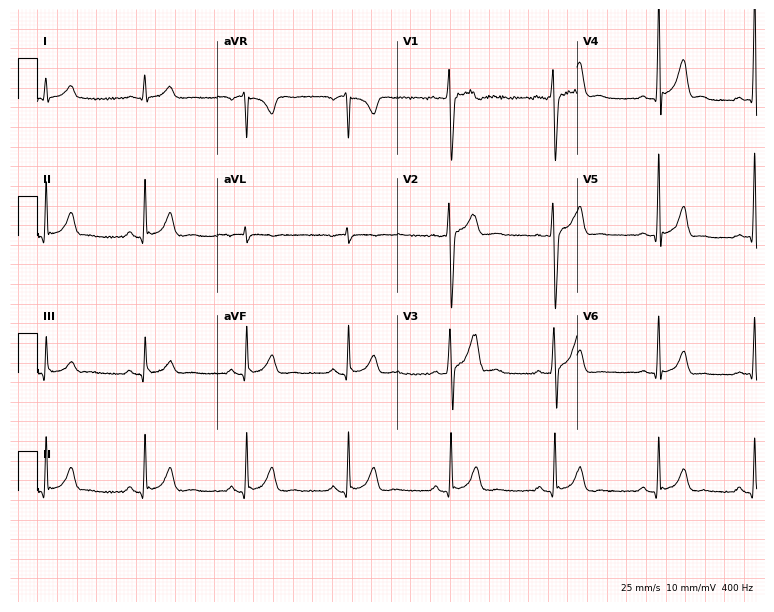
Resting 12-lead electrocardiogram. Patient: a 21-year-old man. Read as a normal ECG.